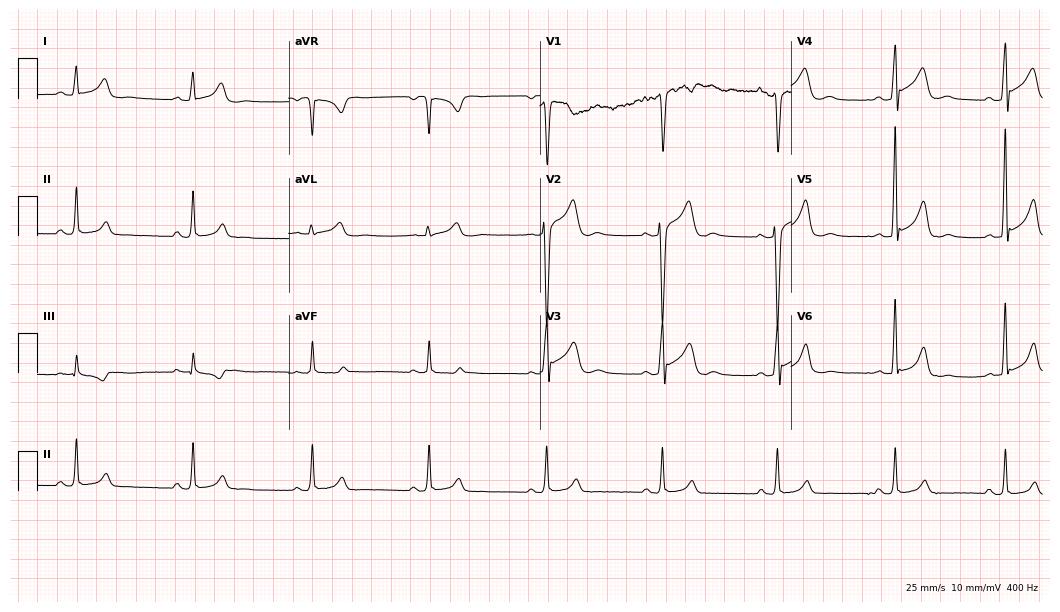
Electrocardiogram (10.2-second recording at 400 Hz), a 33-year-old male. Overall reading on record: normal ECG.